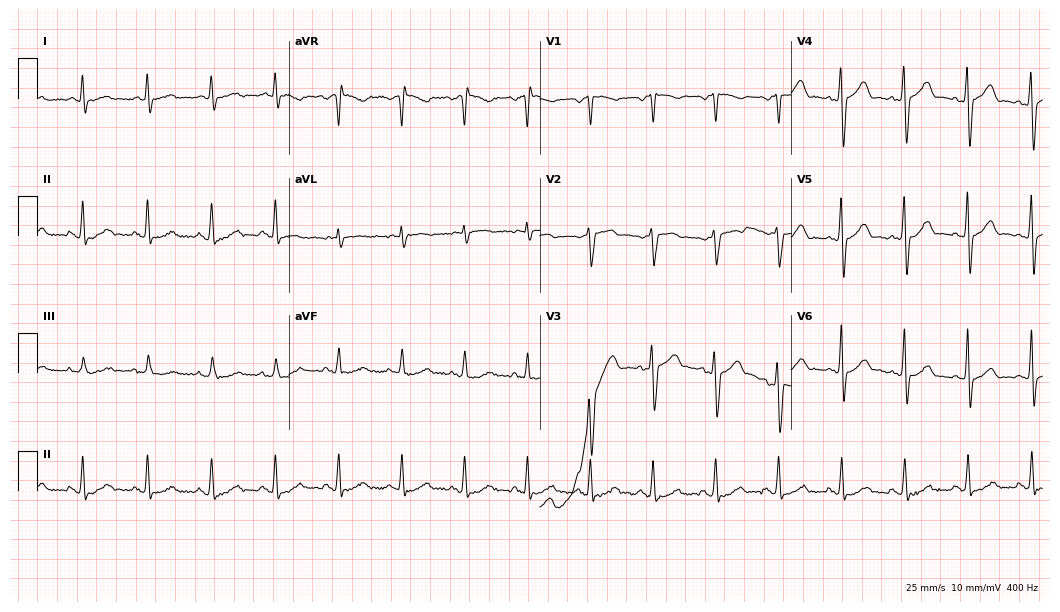
Resting 12-lead electrocardiogram (10.2-second recording at 400 Hz). Patient: a 52-year-old male. Read as a normal ECG.